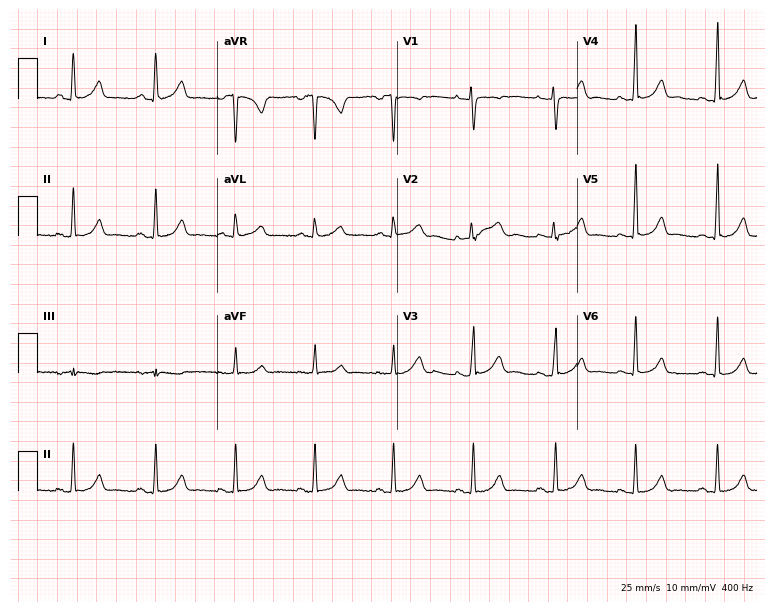
Electrocardiogram (7.3-second recording at 400 Hz), a female, 46 years old. Overall reading on record: normal ECG.